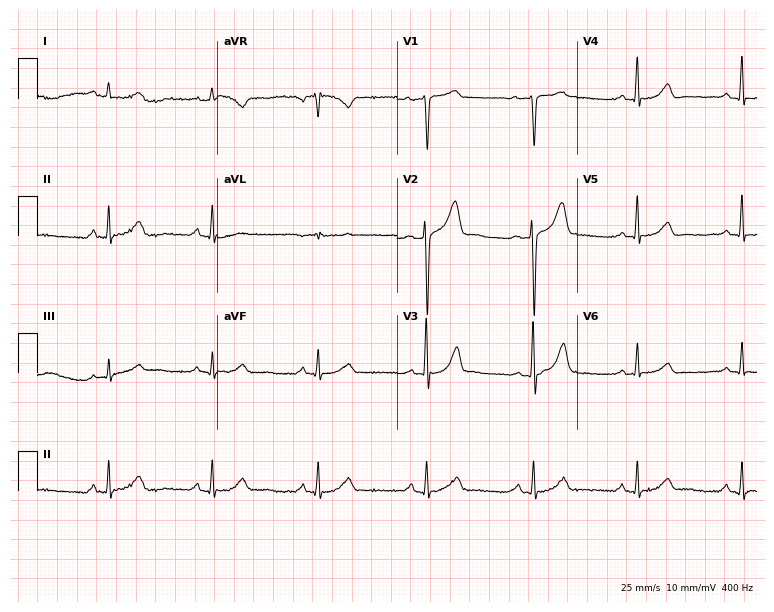
12-lead ECG from a 60-year-old man (7.3-second recording at 400 Hz). Recorded interpretation: within normal limits.